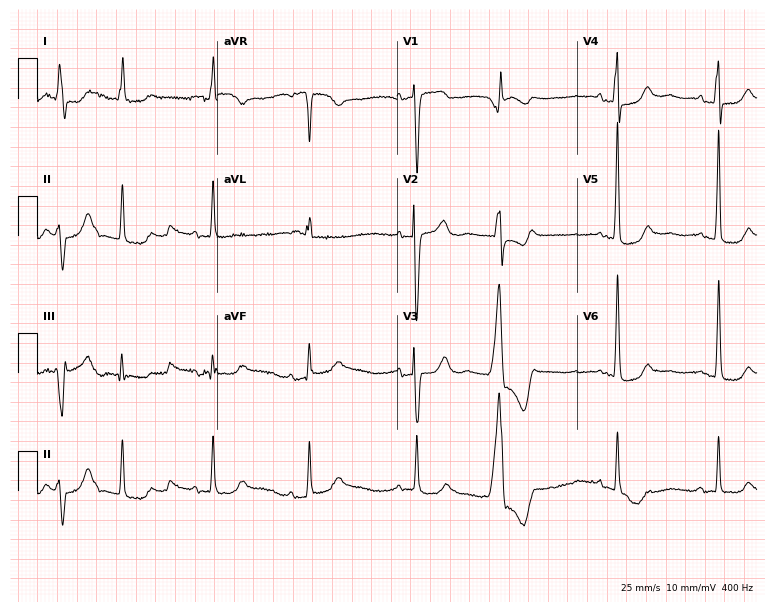
12-lead ECG from a 54-year-old female patient. Screened for six findings — first-degree AV block, right bundle branch block, left bundle branch block, sinus bradycardia, atrial fibrillation, sinus tachycardia — none is recorded. Only these six findings were labelled.